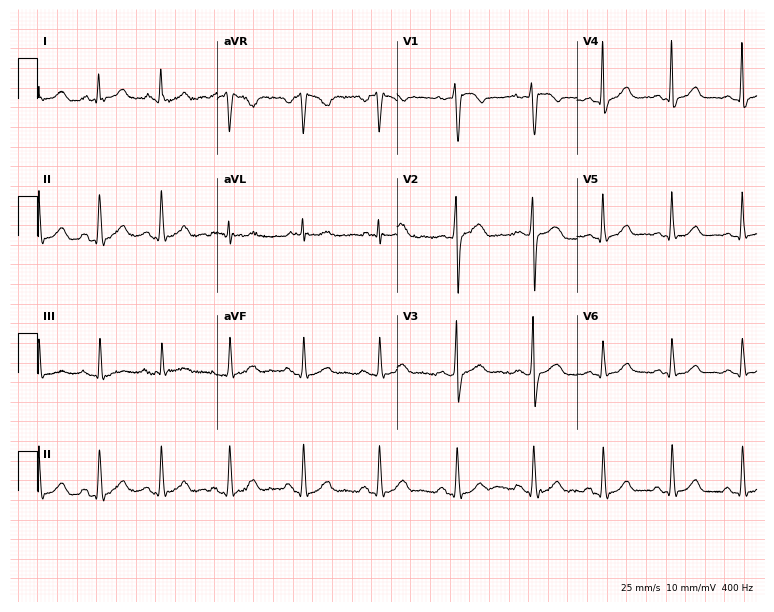
Electrocardiogram (7.3-second recording at 400 Hz), a 29-year-old female. Overall reading on record: normal ECG.